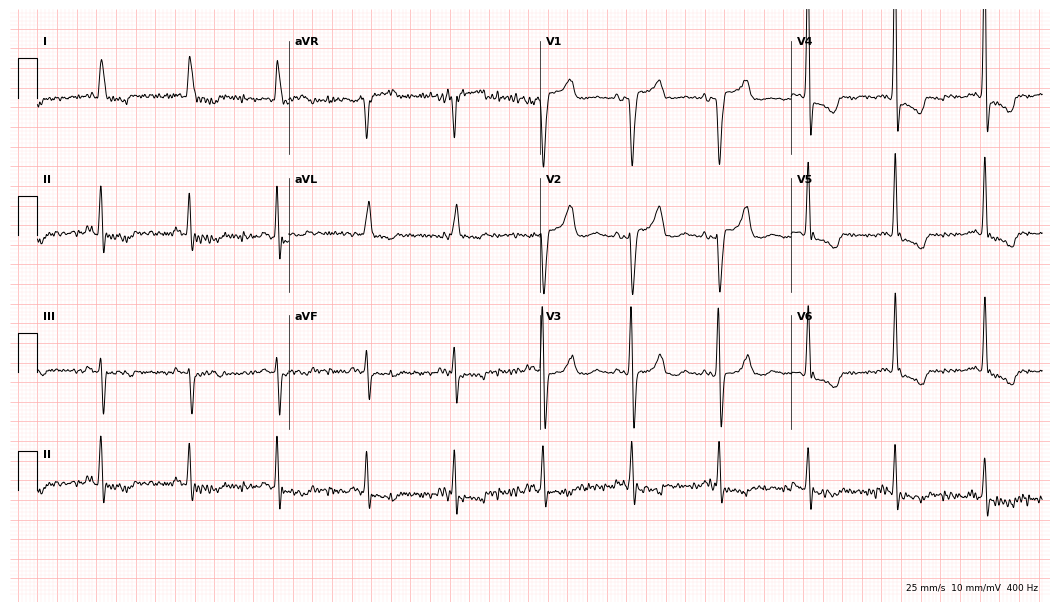
12-lead ECG from a 79-year-old female patient (10.2-second recording at 400 Hz). No first-degree AV block, right bundle branch block, left bundle branch block, sinus bradycardia, atrial fibrillation or sinus tachycardia recorded for this tracing.